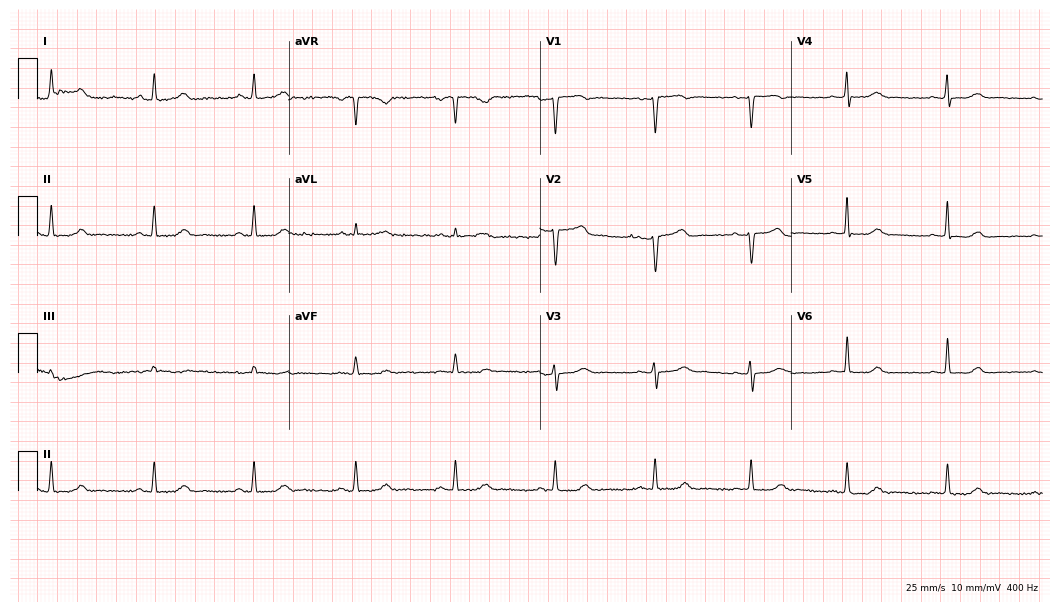
12-lead ECG from a woman, 38 years old (10.2-second recording at 400 Hz). No first-degree AV block, right bundle branch block (RBBB), left bundle branch block (LBBB), sinus bradycardia, atrial fibrillation (AF) or sinus tachycardia recorded for this tracing. Findings outside these six are not listed.